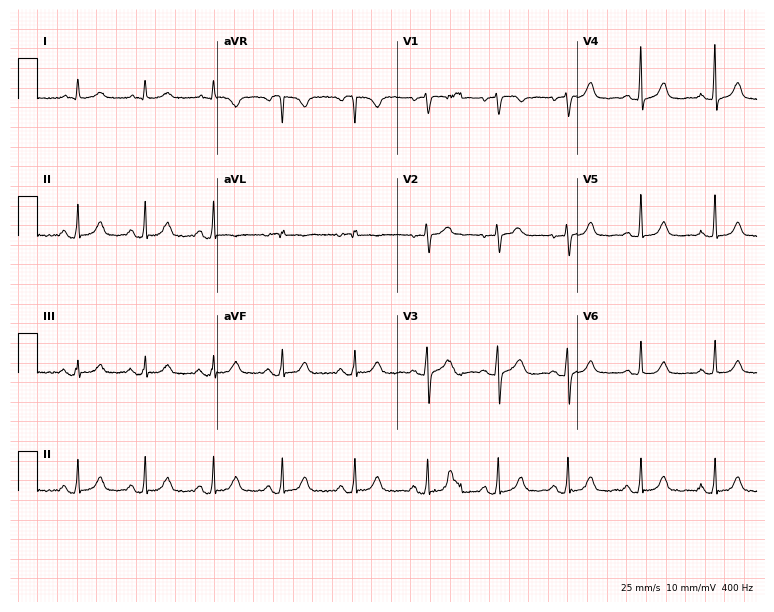
Resting 12-lead electrocardiogram. Patient: a 78-year-old female. Read as a normal ECG.